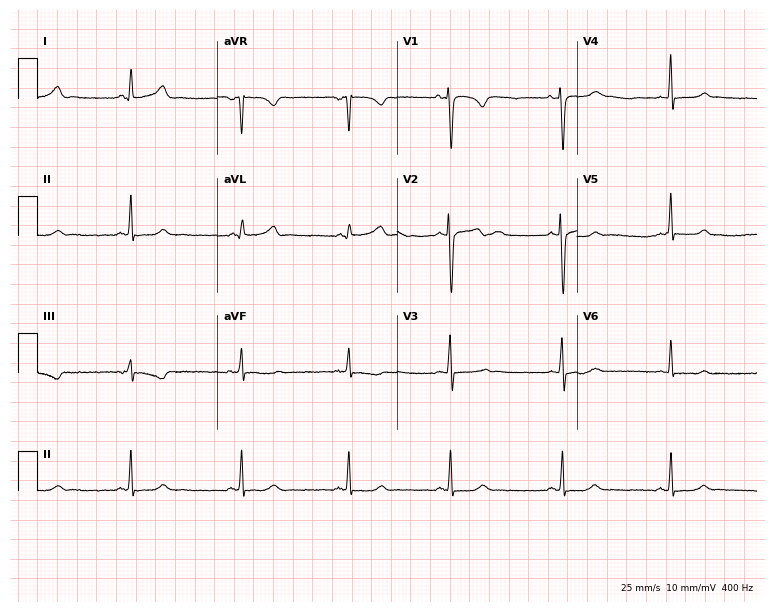
Electrocardiogram (7.3-second recording at 400 Hz), a 36-year-old female patient. Of the six screened findings (first-degree AV block, right bundle branch block (RBBB), left bundle branch block (LBBB), sinus bradycardia, atrial fibrillation (AF), sinus tachycardia), none is recorded.